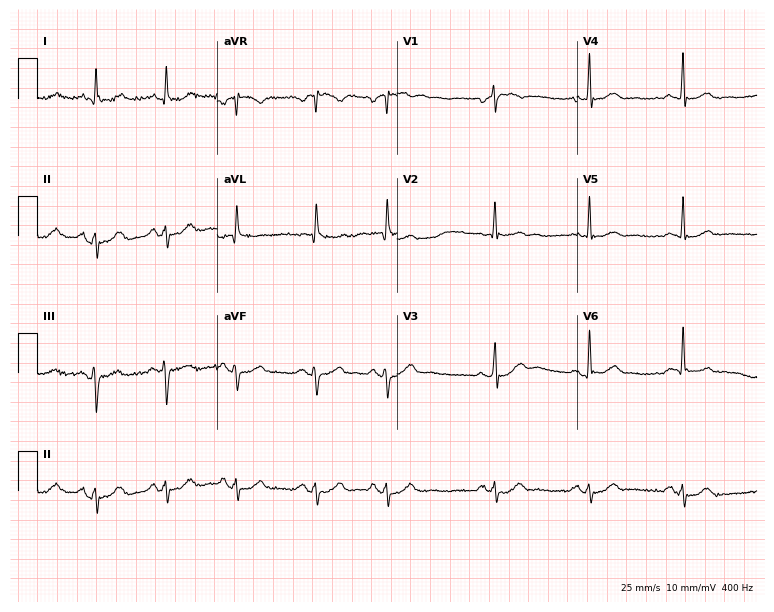
Electrocardiogram, a male, 67 years old. Of the six screened findings (first-degree AV block, right bundle branch block, left bundle branch block, sinus bradycardia, atrial fibrillation, sinus tachycardia), none is recorded.